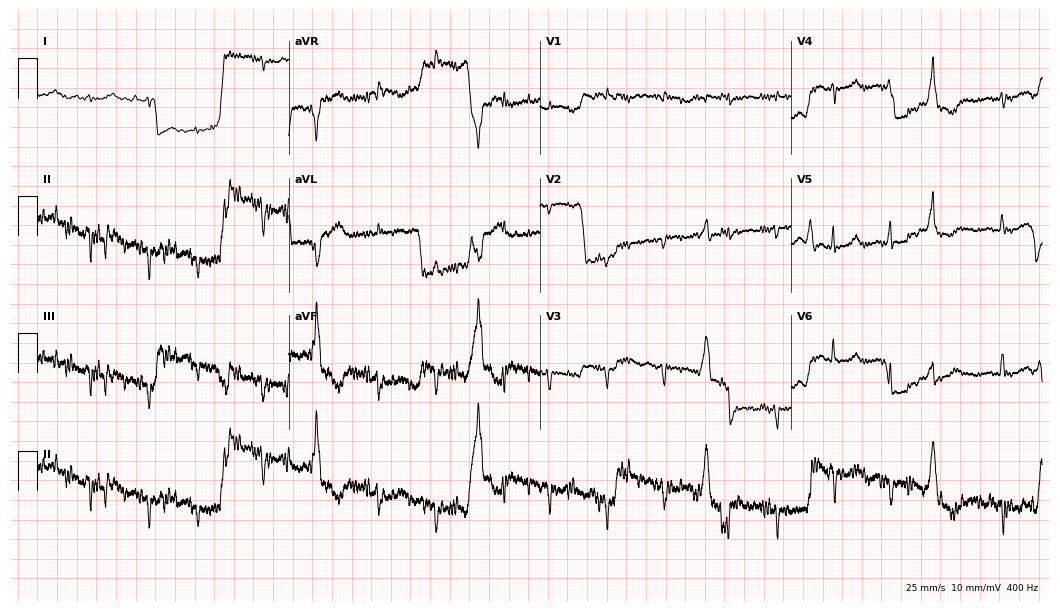
12-lead ECG from a female, 73 years old. Screened for six findings — first-degree AV block, right bundle branch block (RBBB), left bundle branch block (LBBB), sinus bradycardia, atrial fibrillation (AF), sinus tachycardia — none is recorded. Only these six findings were labelled.